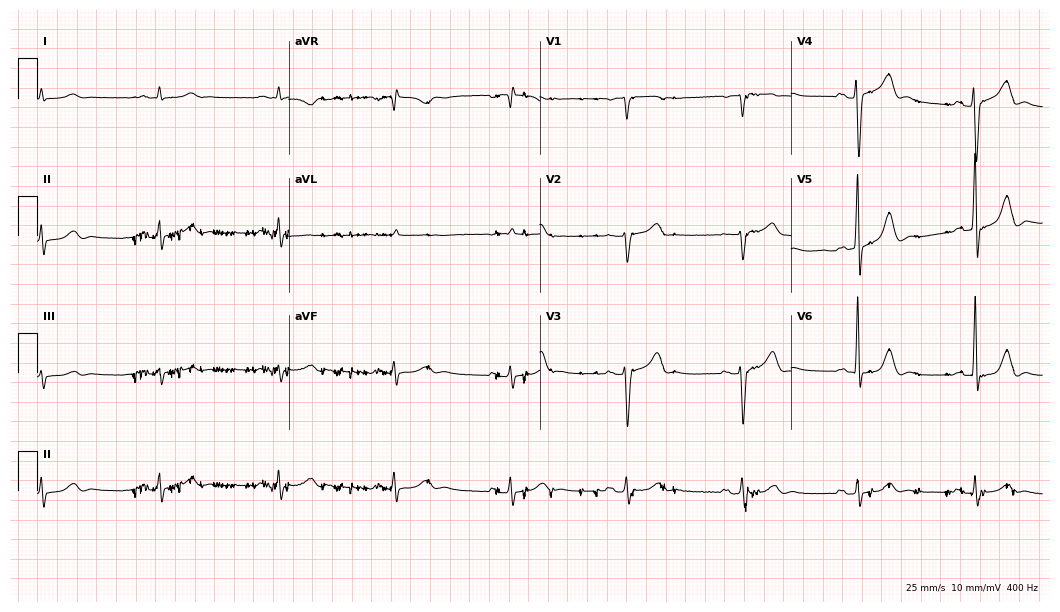
12-lead ECG (10.2-second recording at 400 Hz) from a male, 76 years old. Screened for six findings — first-degree AV block, right bundle branch block, left bundle branch block, sinus bradycardia, atrial fibrillation, sinus tachycardia — none is recorded. Only these six findings were labelled.